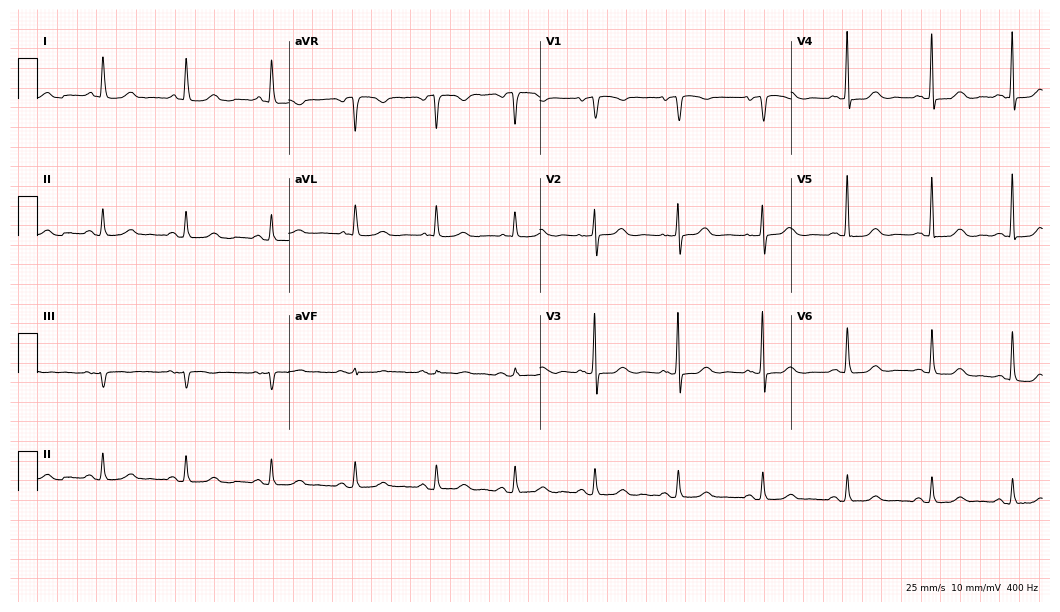
Electrocardiogram, a woman, 81 years old. Of the six screened findings (first-degree AV block, right bundle branch block, left bundle branch block, sinus bradycardia, atrial fibrillation, sinus tachycardia), none is recorded.